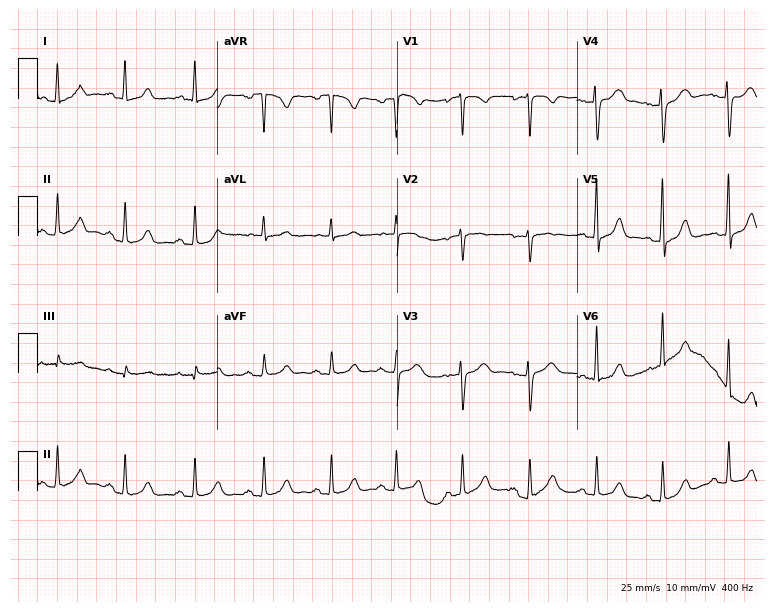
Electrocardiogram (7.3-second recording at 400 Hz), a female, 33 years old. Of the six screened findings (first-degree AV block, right bundle branch block, left bundle branch block, sinus bradycardia, atrial fibrillation, sinus tachycardia), none is recorded. Other findings, if any, are not listed.